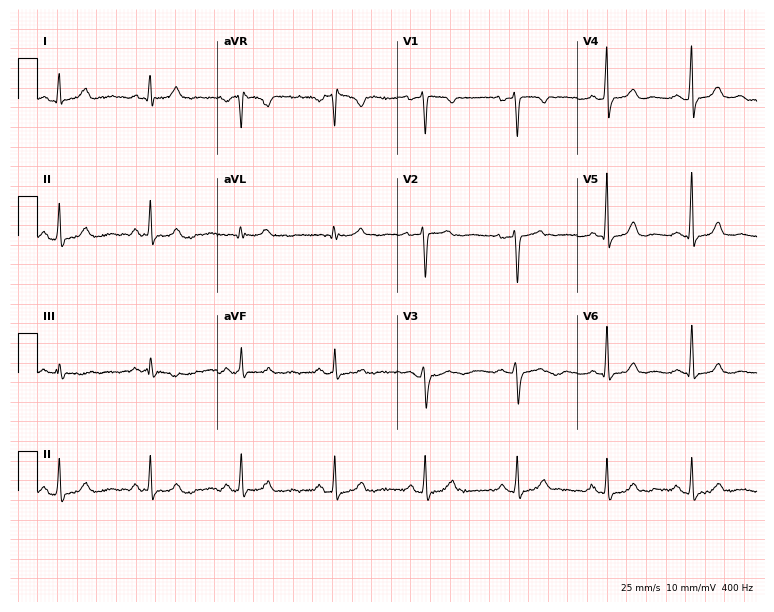
Resting 12-lead electrocardiogram (7.3-second recording at 400 Hz). Patient: a woman, 36 years old. Read as a normal ECG.